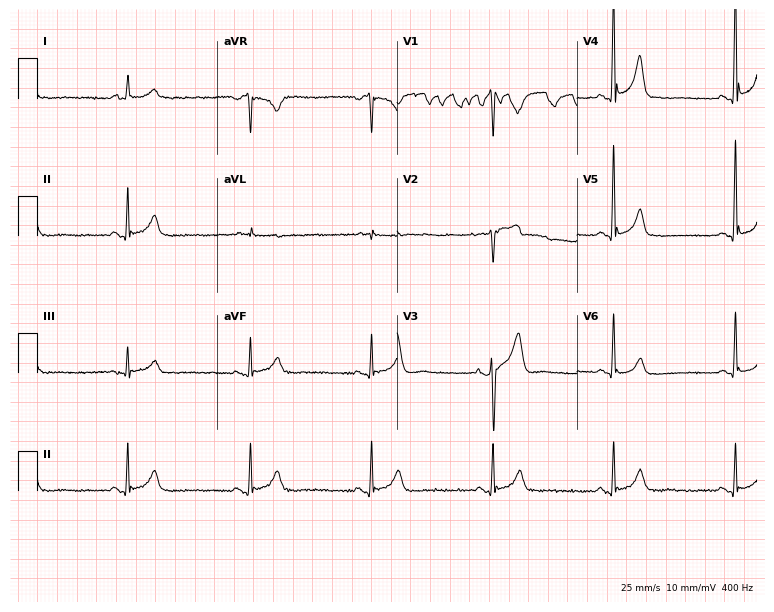
ECG (7.3-second recording at 400 Hz) — a 57-year-old man. Labelled as a normal ECG.